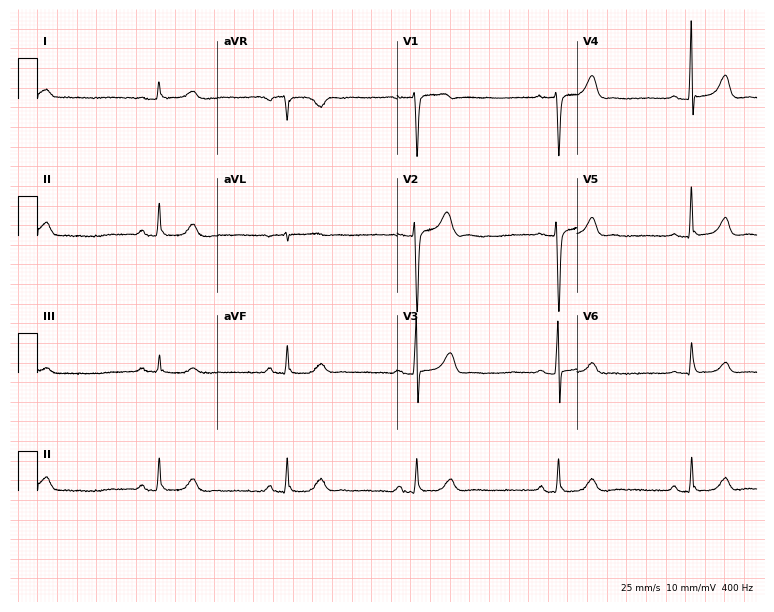
Resting 12-lead electrocardiogram. Patient: a 68-year-old female. The tracing shows sinus bradycardia (a sinus rate of 50 beats per minute or less).